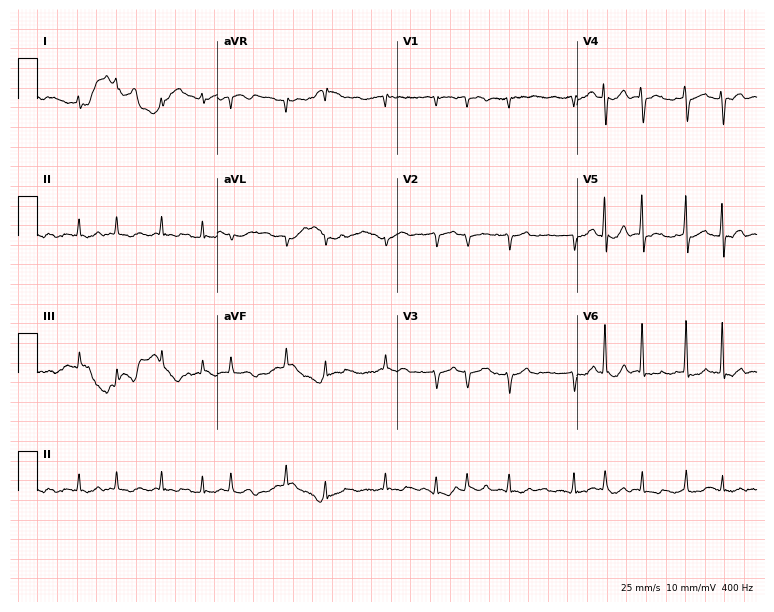
Standard 12-lead ECG recorded from an 81-year-old female. The tracing shows atrial fibrillation.